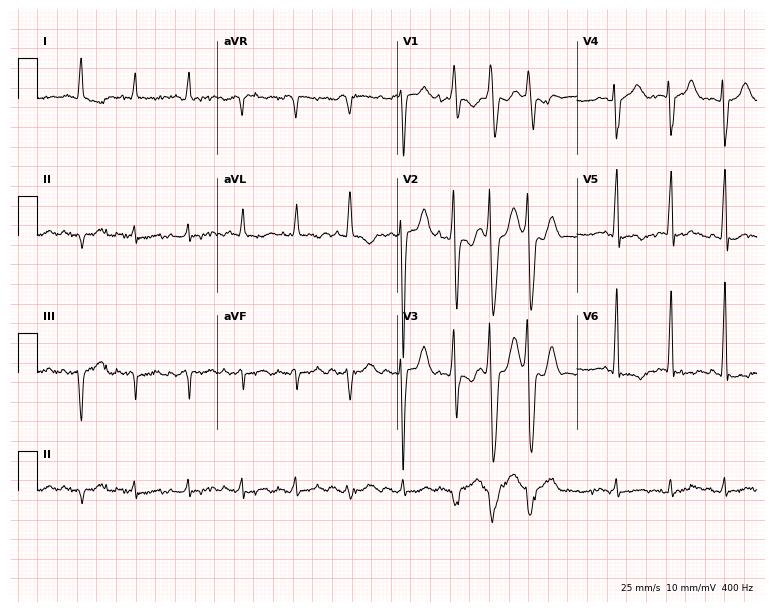
Electrocardiogram, an 80-year-old man. Interpretation includes sinus tachycardia (a sinus rate of 100 beats per minute or more).